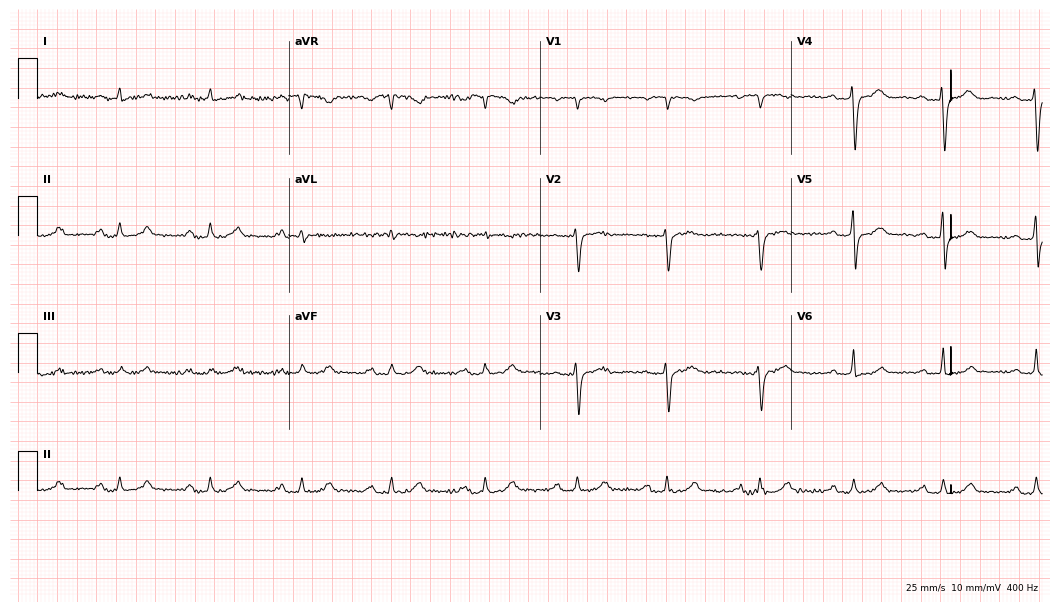
Standard 12-lead ECG recorded from a 60-year-old female (10.2-second recording at 400 Hz). The tracing shows first-degree AV block.